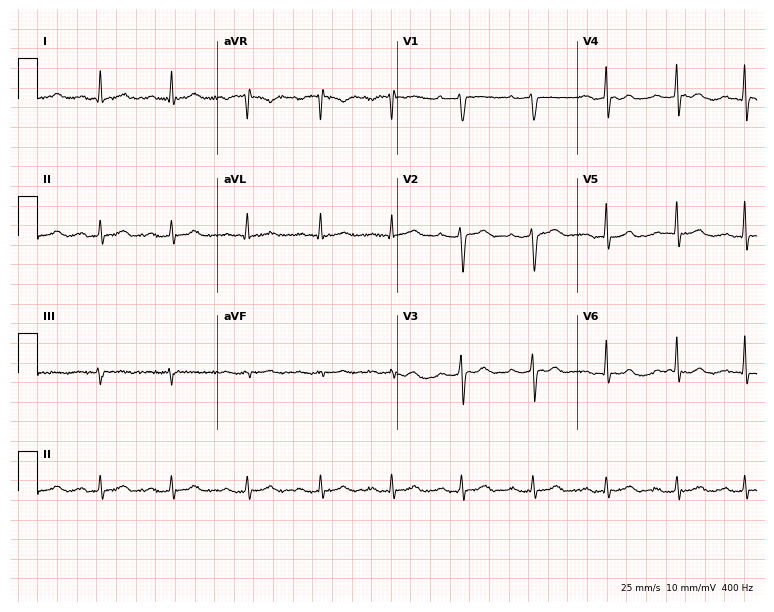
12-lead ECG from a female patient, 45 years old (7.3-second recording at 400 Hz). Recorded interpretation: within normal limits.